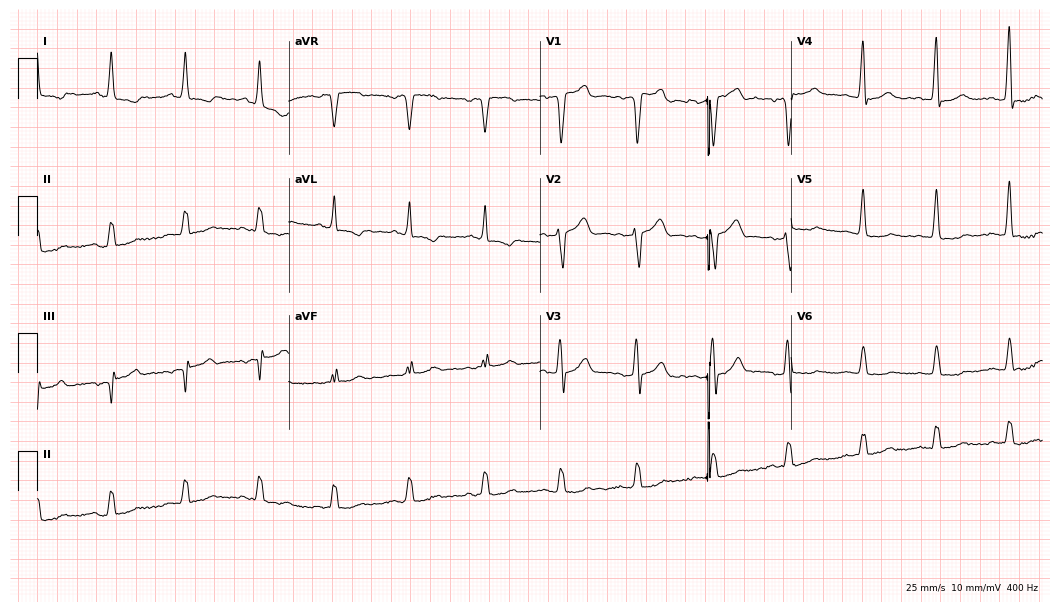
12-lead ECG from a male patient, 63 years old (10.2-second recording at 400 Hz). No first-degree AV block, right bundle branch block (RBBB), left bundle branch block (LBBB), sinus bradycardia, atrial fibrillation (AF) or sinus tachycardia recorded for this tracing. Only these six findings were labelled.